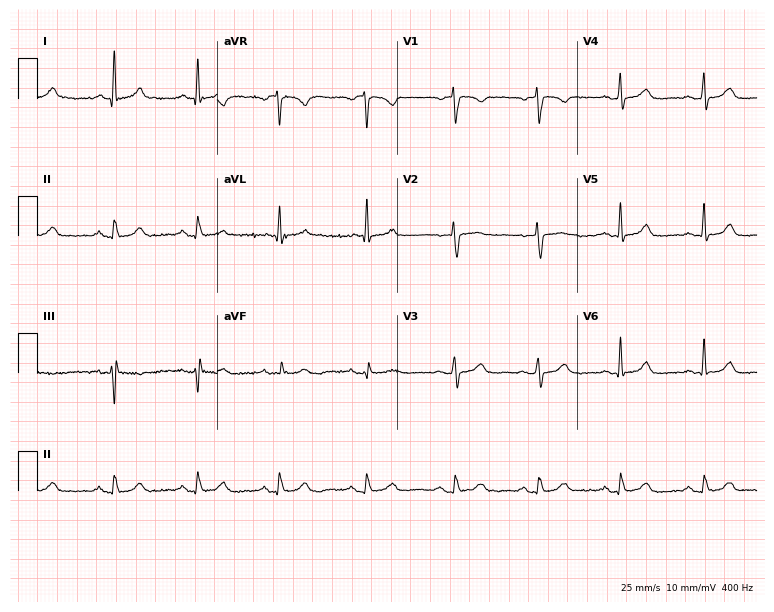
12-lead ECG from a female, 65 years old. Labelled as a normal ECG.